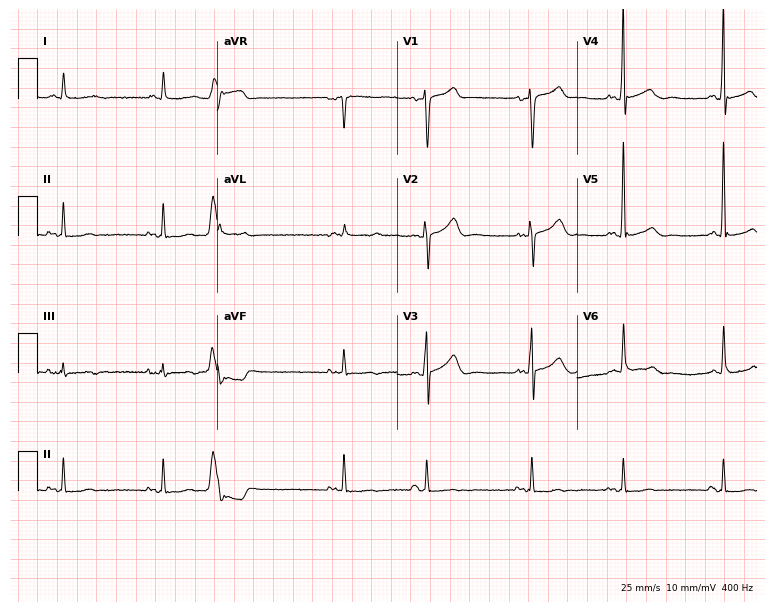
Electrocardiogram (7.3-second recording at 400 Hz), a 78-year-old male patient. Of the six screened findings (first-degree AV block, right bundle branch block (RBBB), left bundle branch block (LBBB), sinus bradycardia, atrial fibrillation (AF), sinus tachycardia), none is recorded.